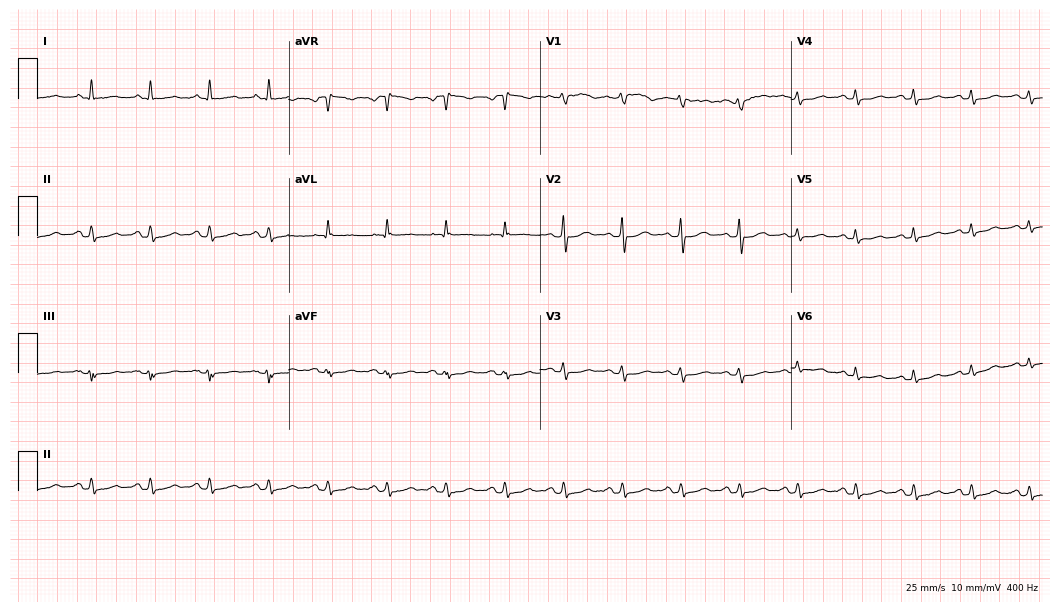
12-lead ECG (10.2-second recording at 400 Hz) from a 59-year-old woman. Findings include sinus tachycardia (a sinus rate of 100 beats per minute or more).